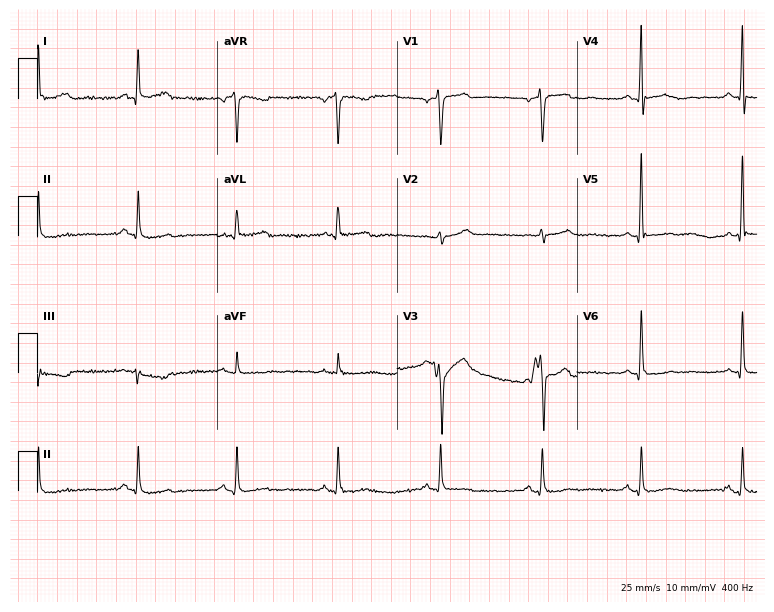
Resting 12-lead electrocardiogram (7.3-second recording at 400 Hz). Patient: a male, 50 years old. None of these six findings is recorded: first-degree AV block, right bundle branch block (RBBB), left bundle branch block (LBBB), sinus bradycardia, atrial fibrillation (AF), sinus tachycardia.